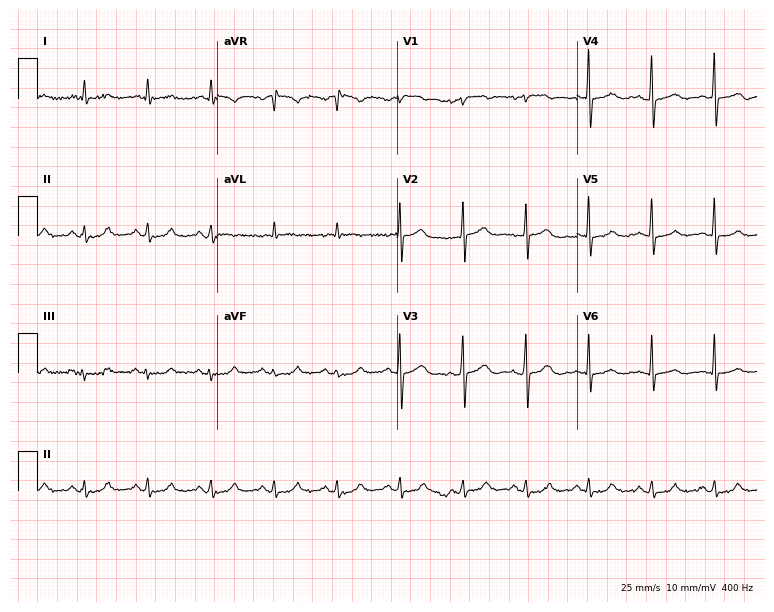
Standard 12-lead ECG recorded from a man, 69 years old (7.3-second recording at 400 Hz). Read as a normal ECG.